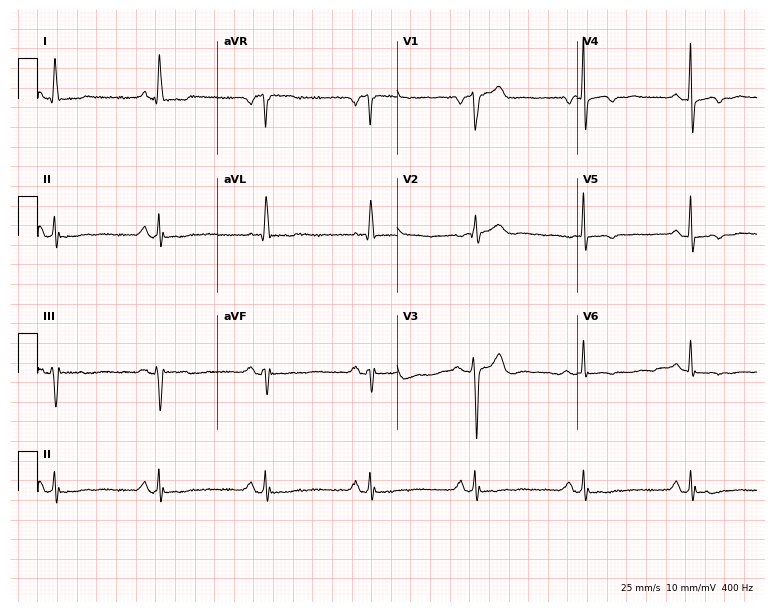
ECG (7.3-second recording at 400 Hz) — a man, 62 years old. Screened for six findings — first-degree AV block, right bundle branch block (RBBB), left bundle branch block (LBBB), sinus bradycardia, atrial fibrillation (AF), sinus tachycardia — none is recorded.